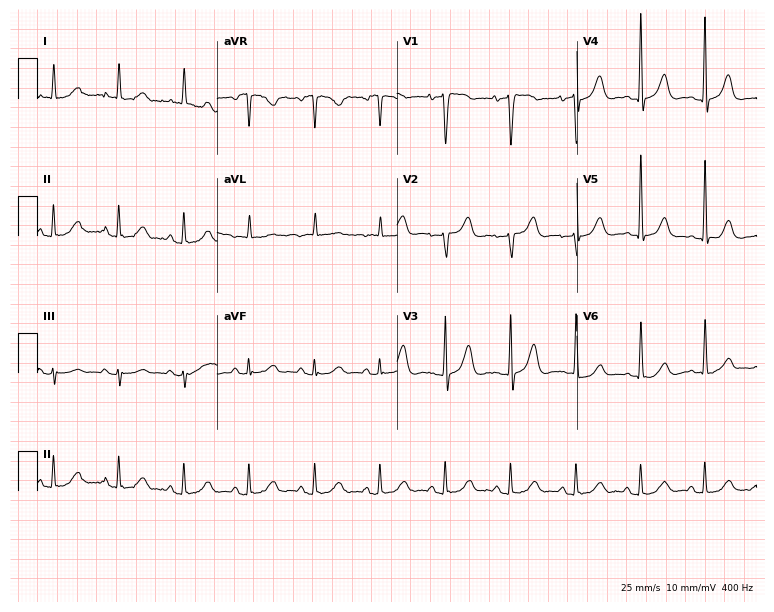
ECG — a 78-year-old female. Screened for six findings — first-degree AV block, right bundle branch block, left bundle branch block, sinus bradycardia, atrial fibrillation, sinus tachycardia — none is recorded. Only these six findings were labelled.